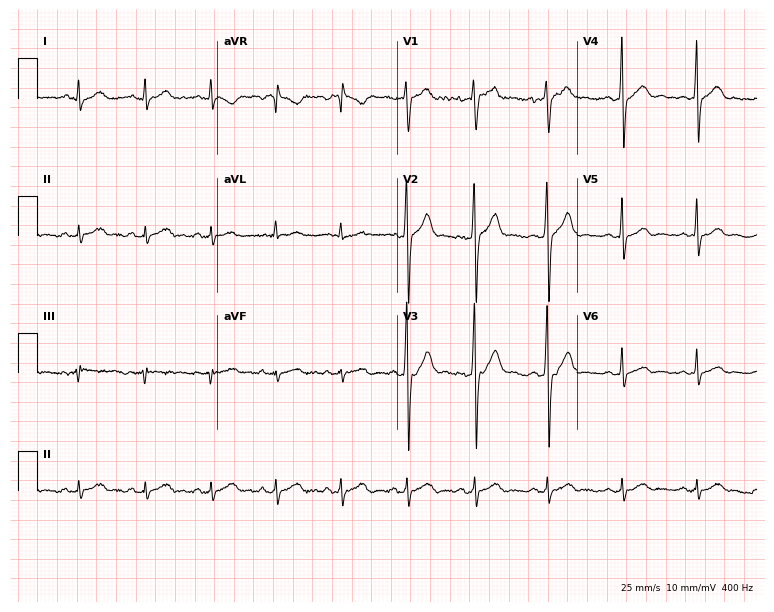
ECG — a 25-year-old male patient. Screened for six findings — first-degree AV block, right bundle branch block (RBBB), left bundle branch block (LBBB), sinus bradycardia, atrial fibrillation (AF), sinus tachycardia — none is recorded.